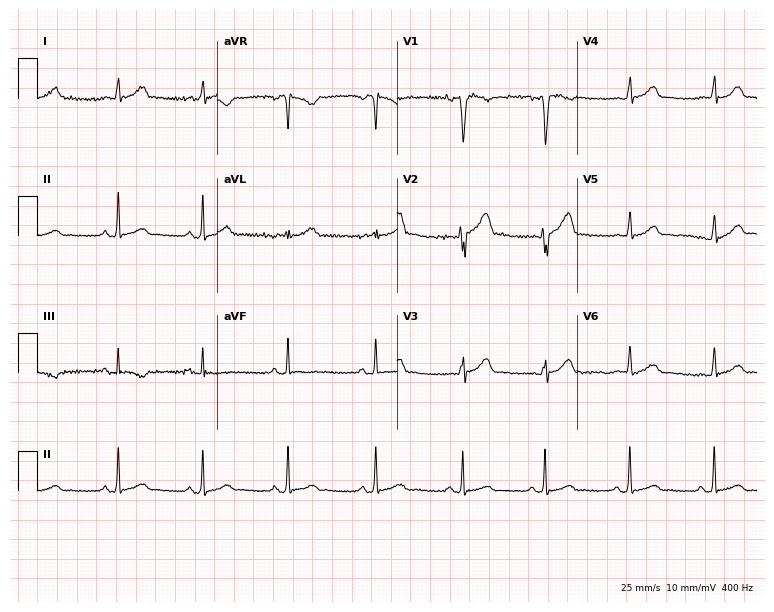
Electrocardiogram, a 35-year-old male. Overall reading on record: normal ECG.